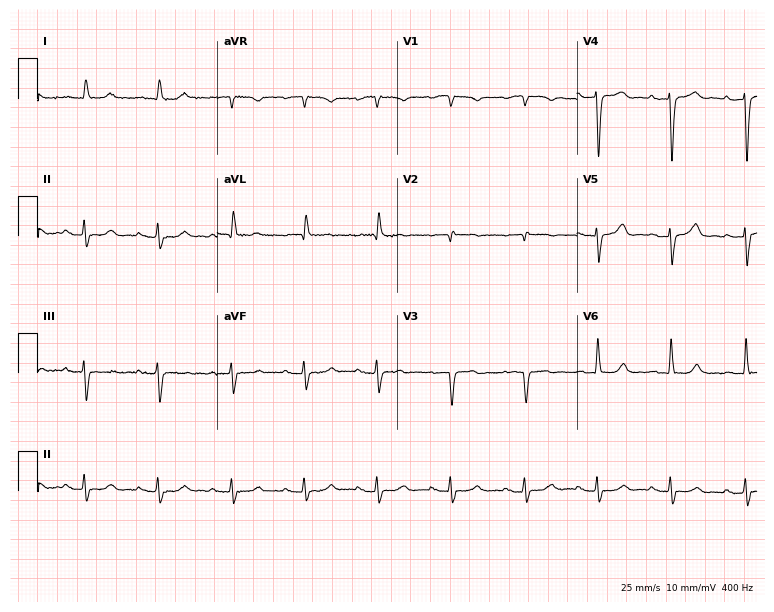
12-lead ECG from a 75-year-old man (7.3-second recording at 400 Hz). No first-degree AV block, right bundle branch block, left bundle branch block, sinus bradycardia, atrial fibrillation or sinus tachycardia recorded for this tracing.